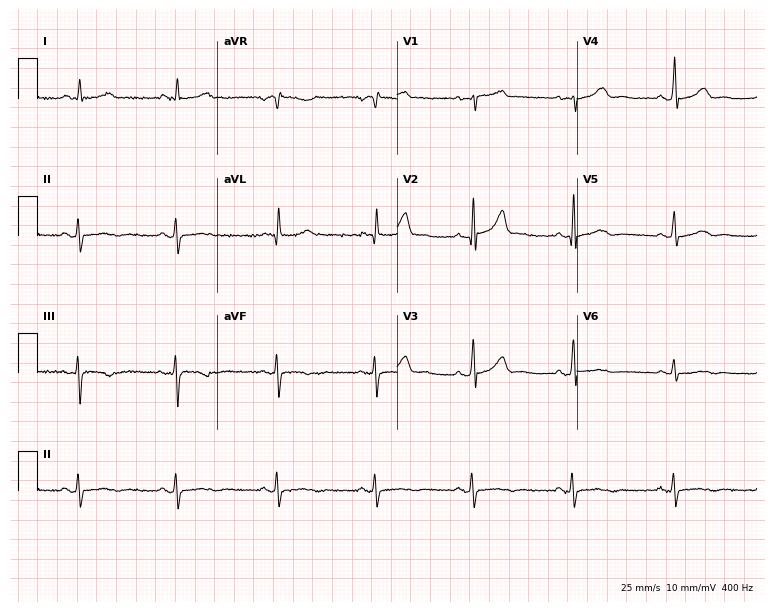
12-lead ECG (7.3-second recording at 400 Hz) from a 79-year-old male. Labelled as a normal ECG.